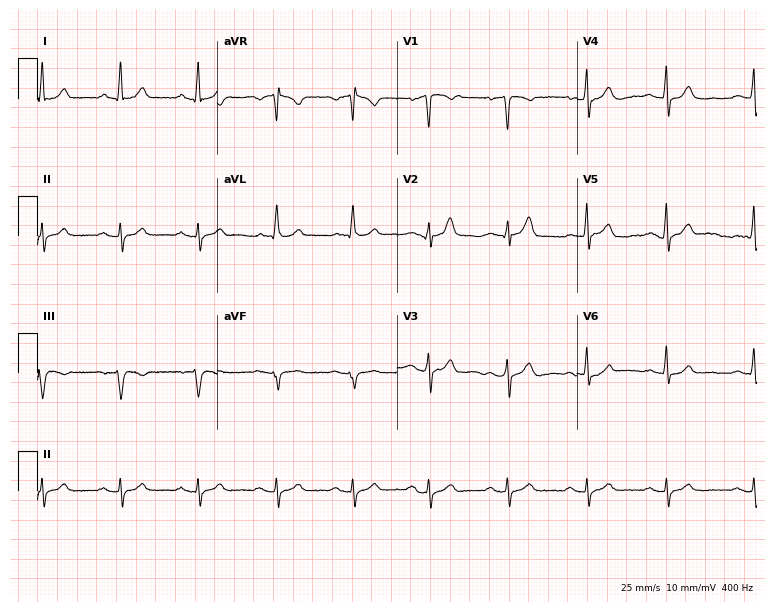
Standard 12-lead ECG recorded from a 54-year-old male patient. None of these six findings is recorded: first-degree AV block, right bundle branch block, left bundle branch block, sinus bradycardia, atrial fibrillation, sinus tachycardia.